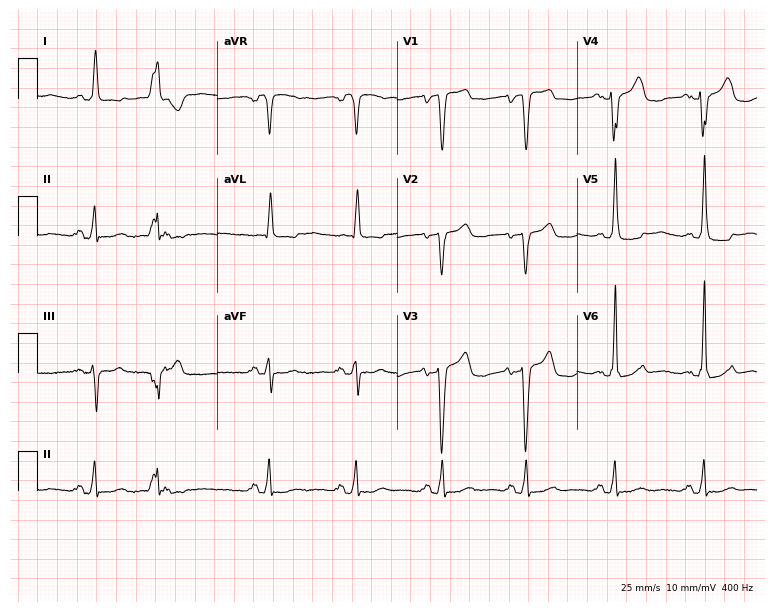
Resting 12-lead electrocardiogram (7.3-second recording at 400 Hz). Patient: a woman, 74 years old. None of these six findings is recorded: first-degree AV block, right bundle branch block (RBBB), left bundle branch block (LBBB), sinus bradycardia, atrial fibrillation (AF), sinus tachycardia. Only these six findings were labelled.